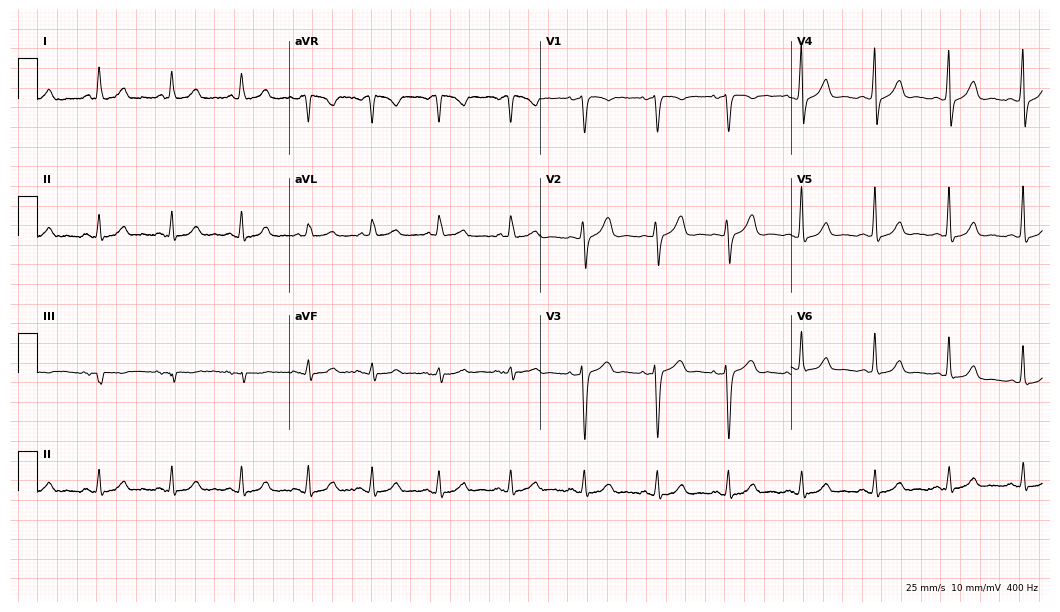
Electrocardiogram, a woman, 46 years old. Overall reading on record: normal ECG.